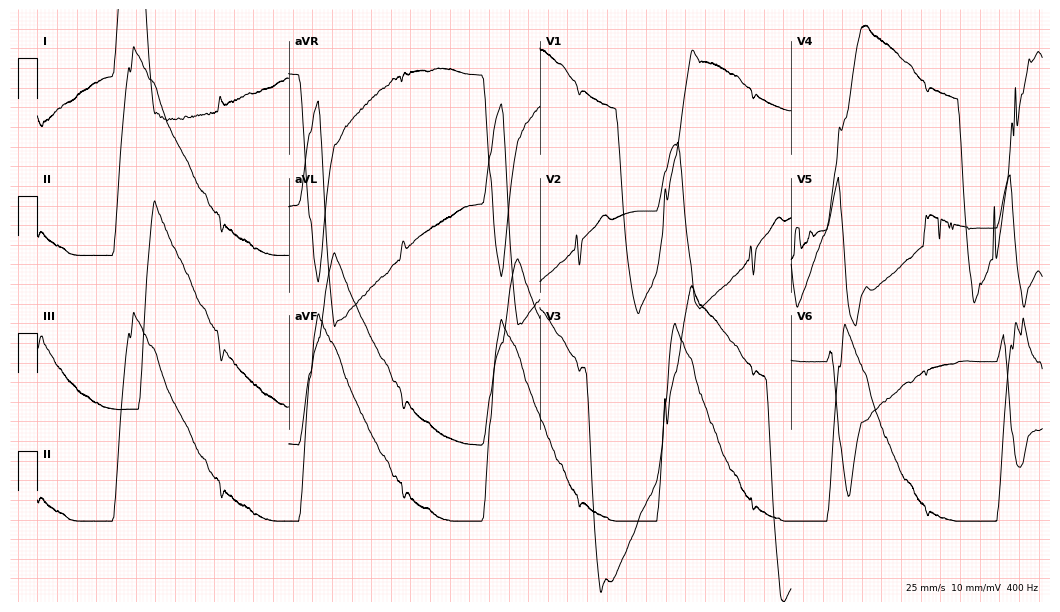
12-lead ECG from a 71-year-old male. Screened for six findings — first-degree AV block, right bundle branch block, left bundle branch block, sinus bradycardia, atrial fibrillation, sinus tachycardia — none is recorded.